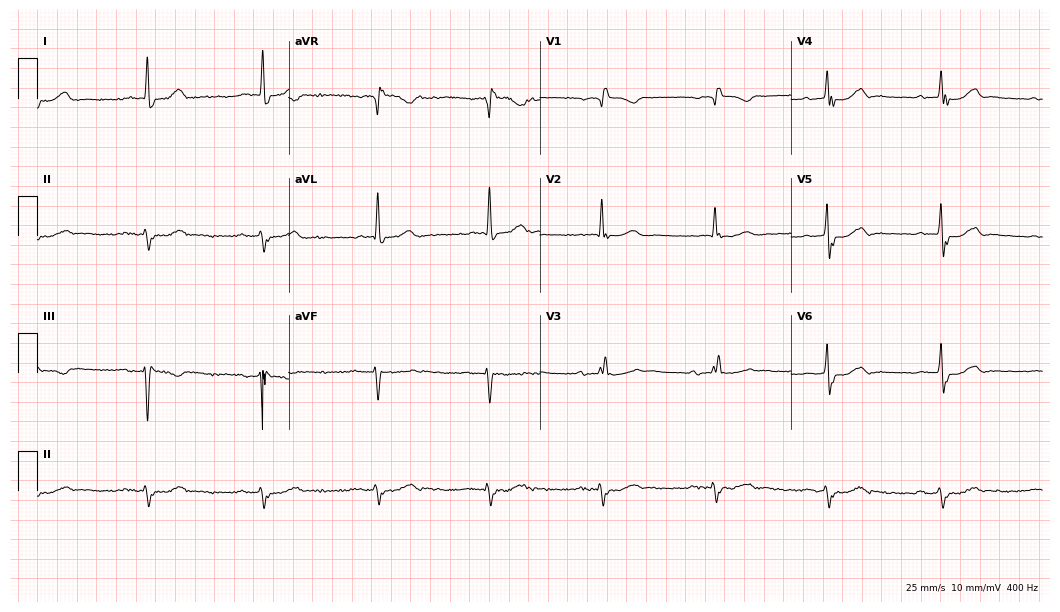
12-lead ECG from a male patient, 82 years old (10.2-second recording at 400 Hz). No first-degree AV block, right bundle branch block (RBBB), left bundle branch block (LBBB), sinus bradycardia, atrial fibrillation (AF) or sinus tachycardia recorded for this tracing. Findings outside these six are not listed.